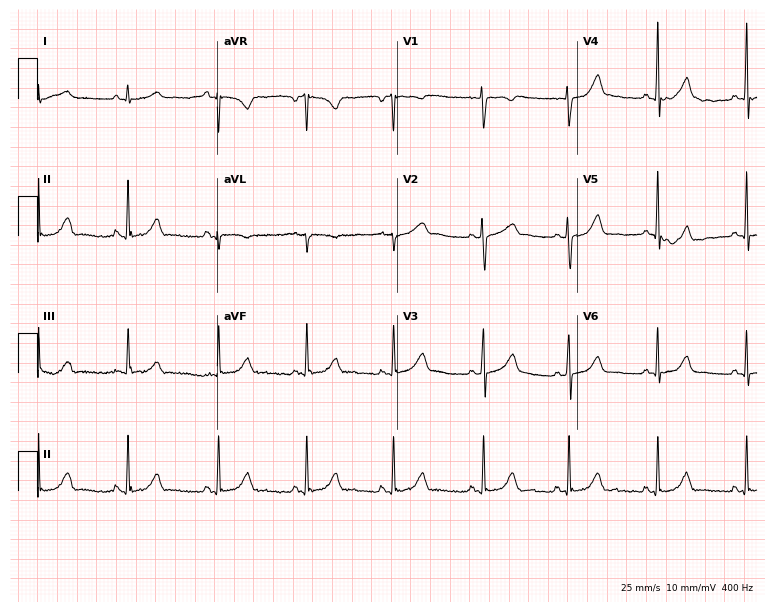
Resting 12-lead electrocardiogram. Patient: a female, 22 years old. Read as a normal ECG.